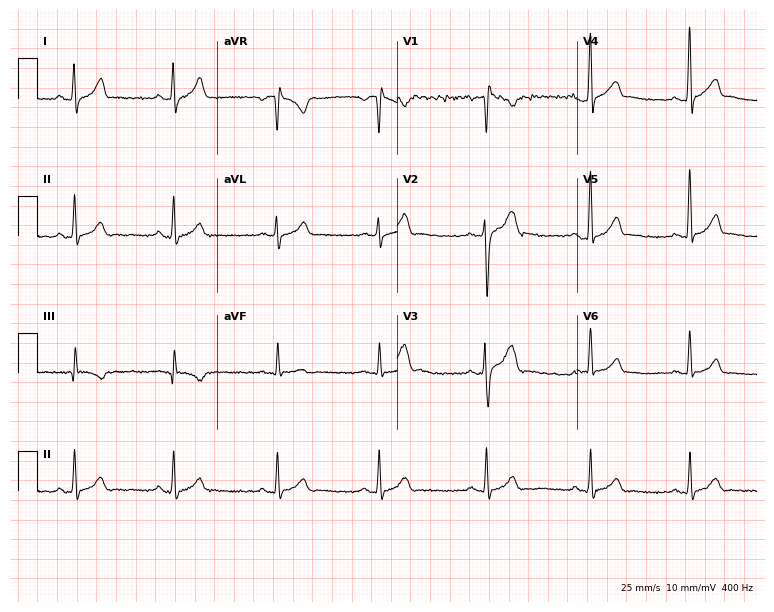
Standard 12-lead ECG recorded from a male, 33 years old. None of these six findings is recorded: first-degree AV block, right bundle branch block, left bundle branch block, sinus bradycardia, atrial fibrillation, sinus tachycardia. Only these six findings were labelled.